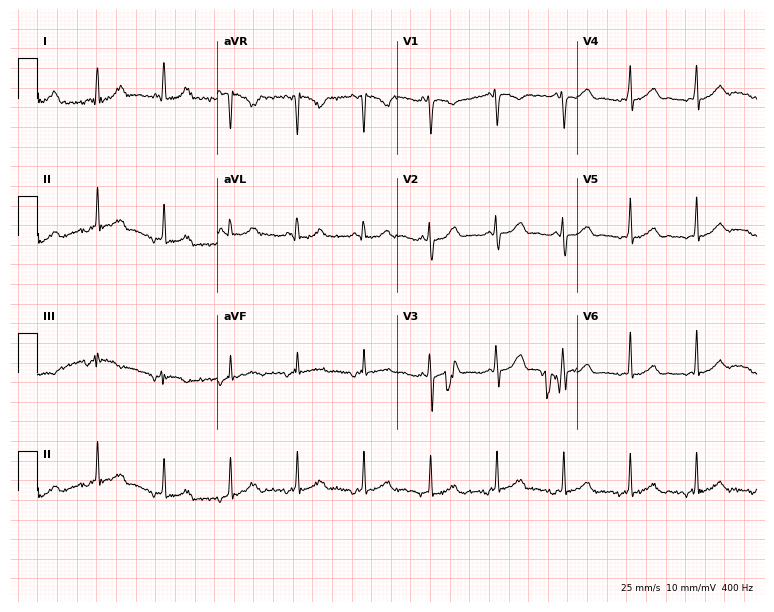
Resting 12-lead electrocardiogram. Patient: a female, 25 years old. None of these six findings is recorded: first-degree AV block, right bundle branch block, left bundle branch block, sinus bradycardia, atrial fibrillation, sinus tachycardia. Other findings, if any, are not listed.